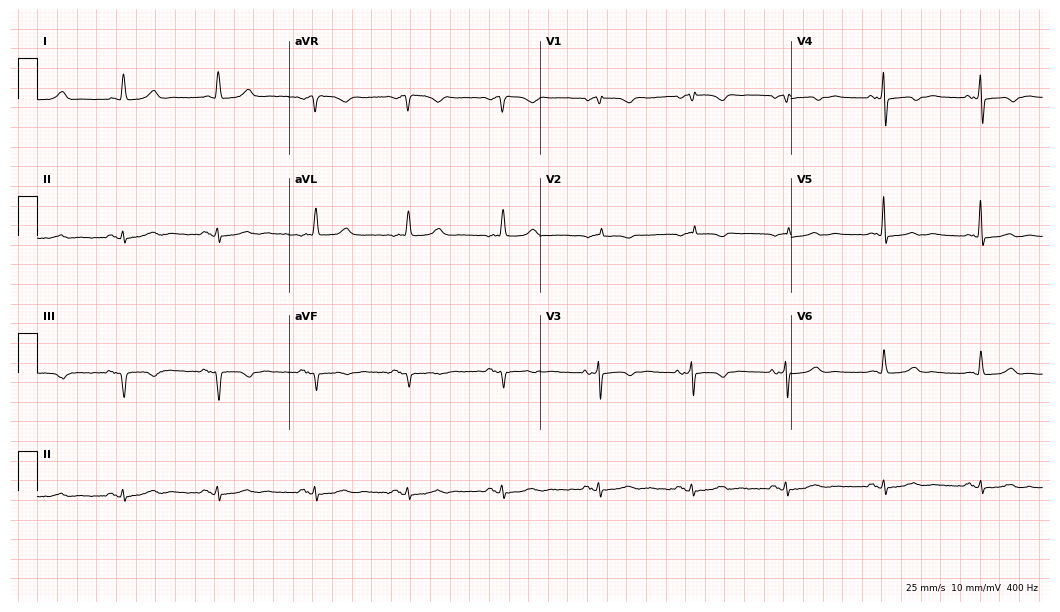
12-lead ECG (10.2-second recording at 400 Hz) from a 78-year-old female patient. Labelled as a normal ECG.